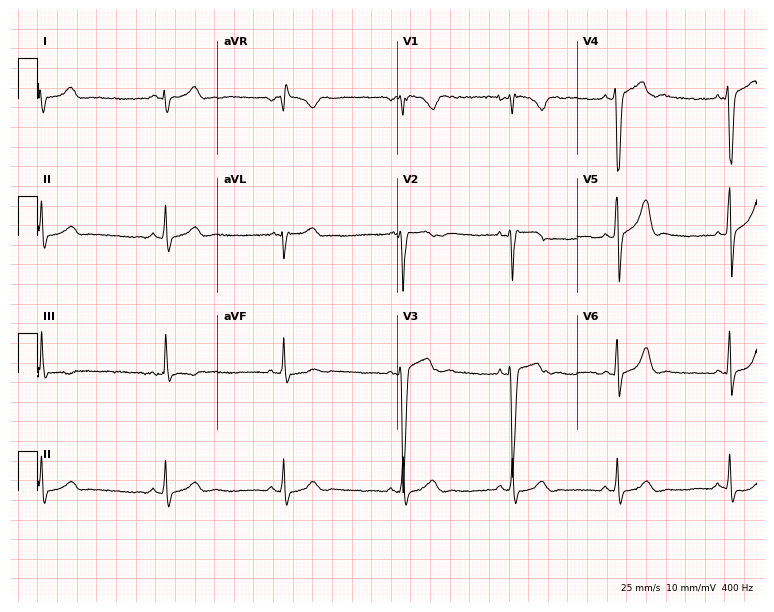
Resting 12-lead electrocardiogram (7.3-second recording at 400 Hz). Patient: a 23-year-old male. None of these six findings is recorded: first-degree AV block, right bundle branch block, left bundle branch block, sinus bradycardia, atrial fibrillation, sinus tachycardia.